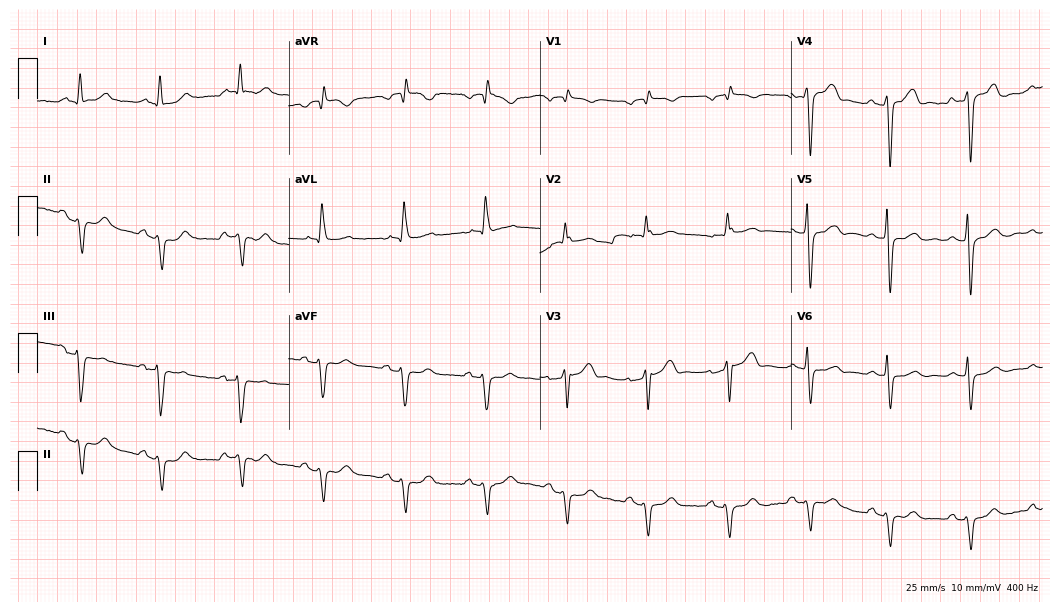
Standard 12-lead ECG recorded from a male, 71 years old. None of these six findings is recorded: first-degree AV block, right bundle branch block (RBBB), left bundle branch block (LBBB), sinus bradycardia, atrial fibrillation (AF), sinus tachycardia.